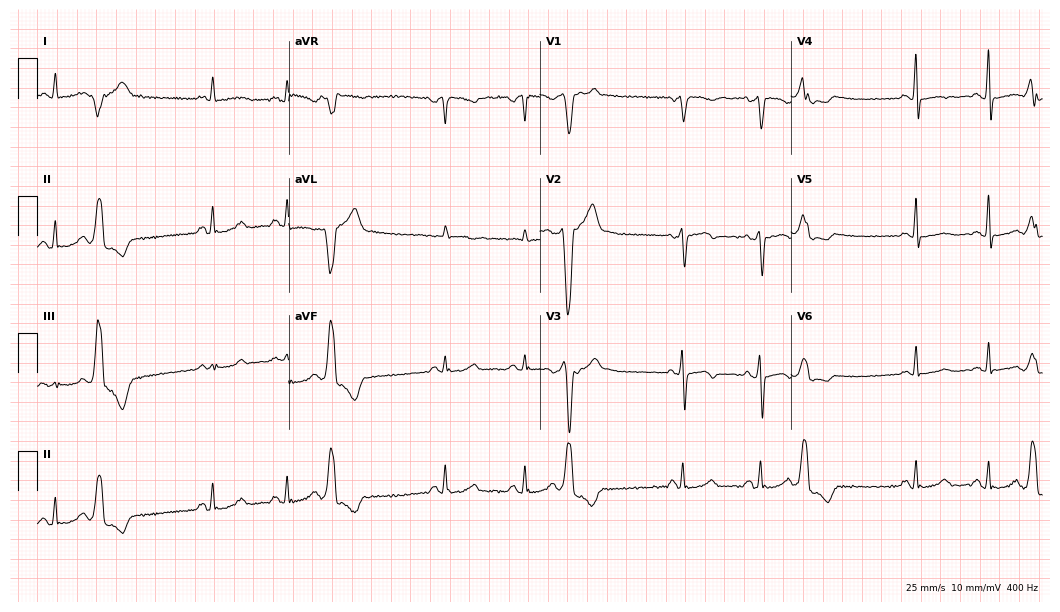
12-lead ECG (10.2-second recording at 400 Hz) from a female, 25 years old. Screened for six findings — first-degree AV block, right bundle branch block, left bundle branch block, sinus bradycardia, atrial fibrillation, sinus tachycardia — none is recorded.